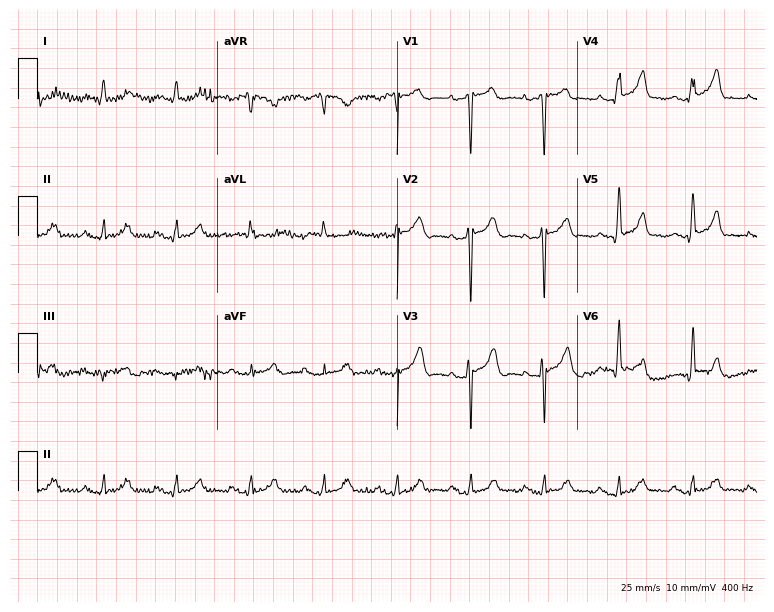
12-lead ECG from a 77-year-old male. No first-degree AV block, right bundle branch block (RBBB), left bundle branch block (LBBB), sinus bradycardia, atrial fibrillation (AF) or sinus tachycardia recorded for this tracing. Other findings, if any, are not listed.